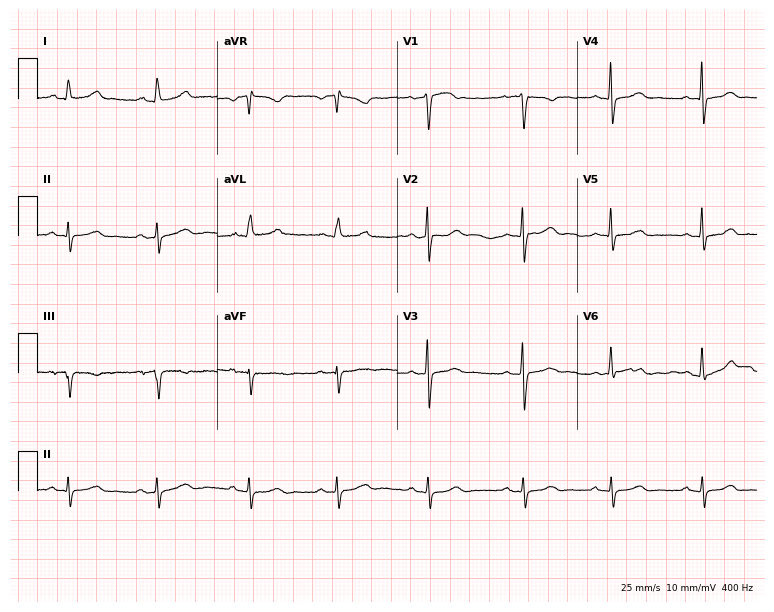
Standard 12-lead ECG recorded from a 39-year-old female patient (7.3-second recording at 400 Hz). Read as a normal ECG.